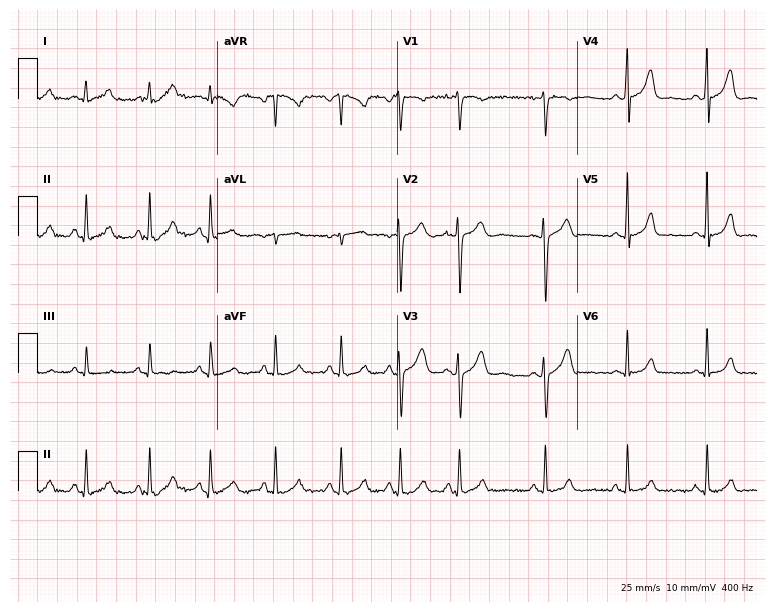
Standard 12-lead ECG recorded from a female, 29 years old (7.3-second recording at 400 Hz). None of these six findings is recorded: first-degree AV block, right bundle branch block, left bundle branch block, sinus bradycardia, atrial fibrillation, sinus tachycardia.